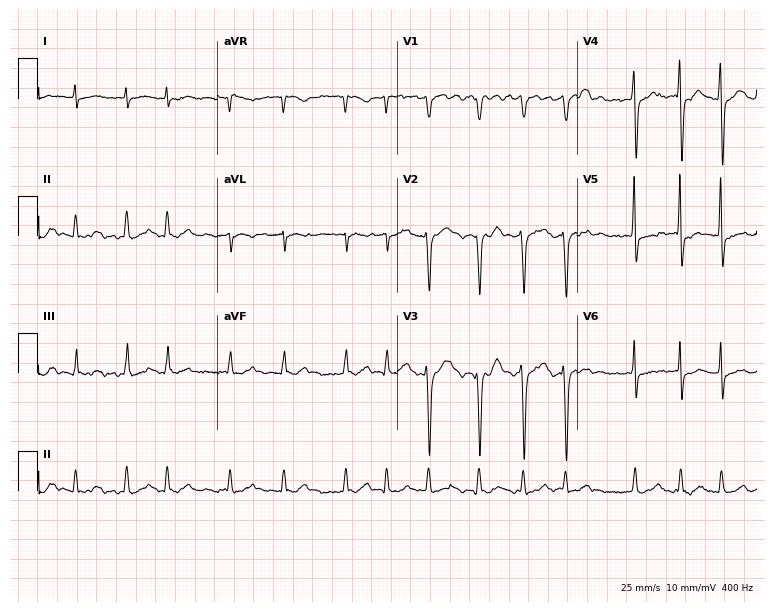
Standard 12-lead ECG recorded from a male, 64 years old. The tracing shows atrial fibrillation.